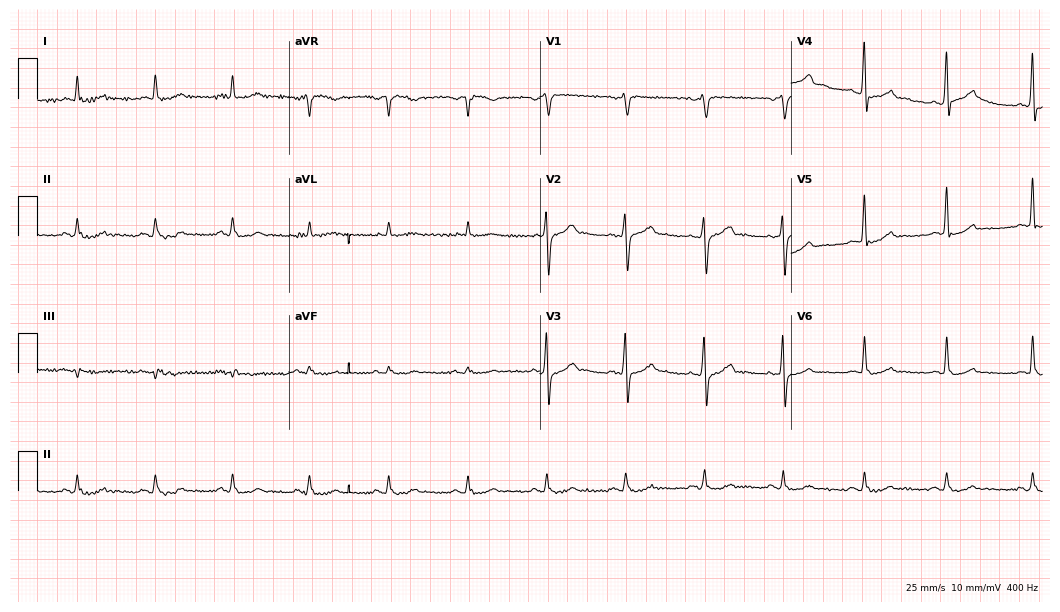
Standard 12-lead ECG recorded from a 73-year-old man. The tracing shows atrial fibrillation (AF).